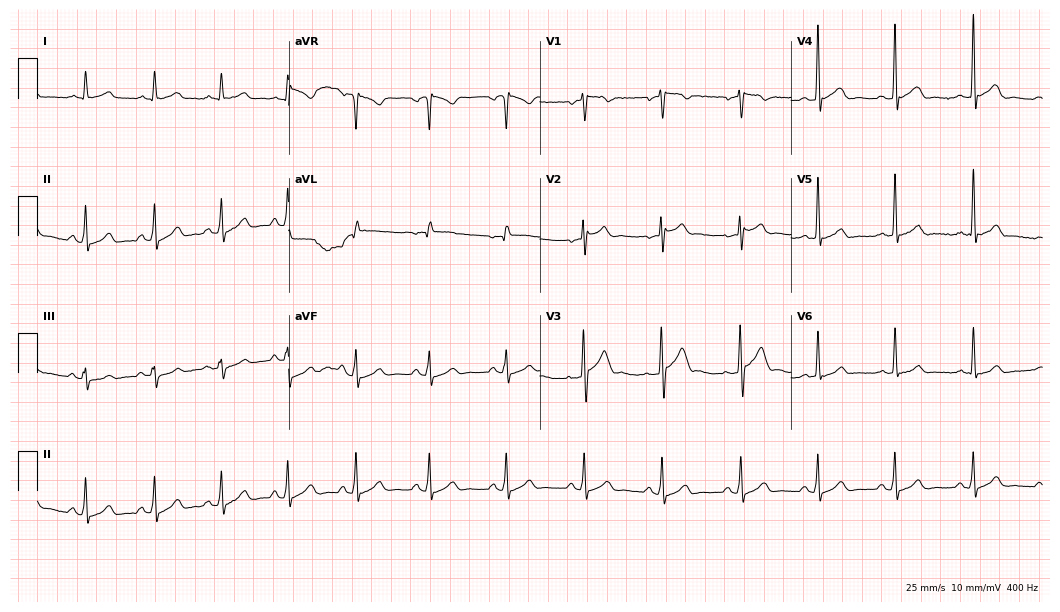
Standard 12-lead ECG recorded from a 42-year-old man. Read as a normal ECG.